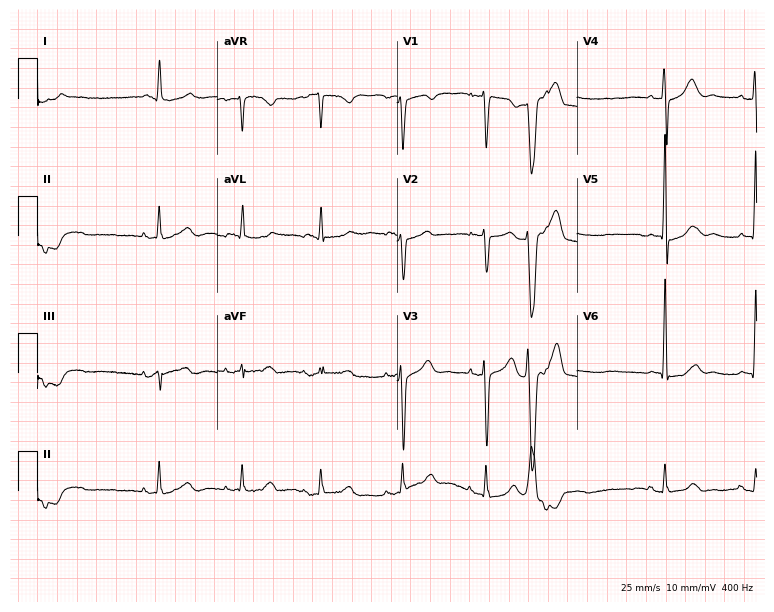
12-lead ECG (7.3-second recording at 400 Hz) from a woman, 73 years old. Screened for six findings — first-degree AV block, right bundle branch block, left bundle branch block, sinus bradycardia, atrial fibrillation, sinus tachycardia — none is recorded.